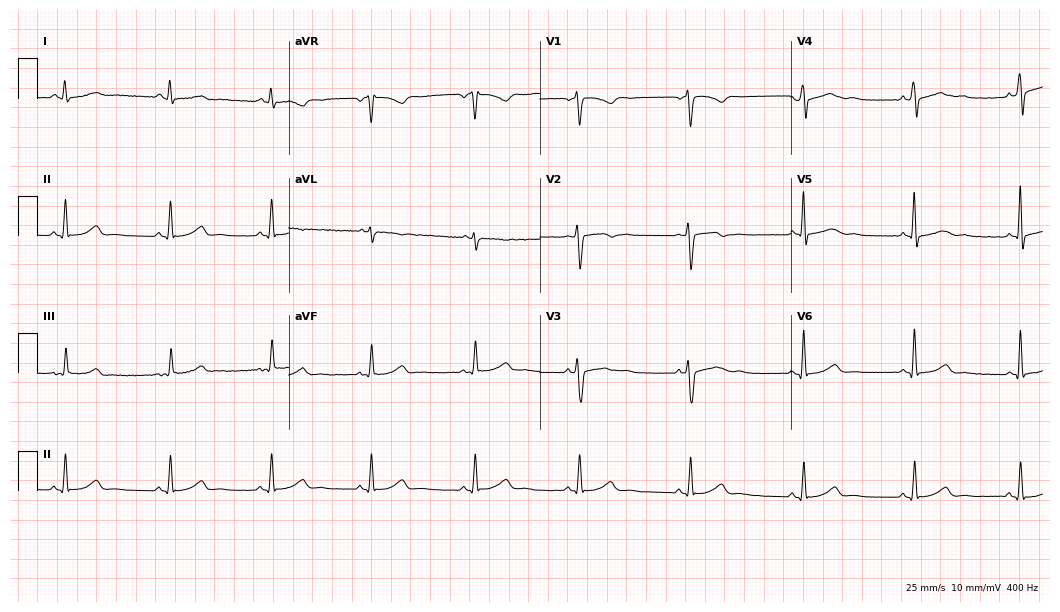
Resting 12-lead electrocardiogram (10.2-second recording at 400 Hz). Patient: a 40-year-old female. Read as a normal ECG.